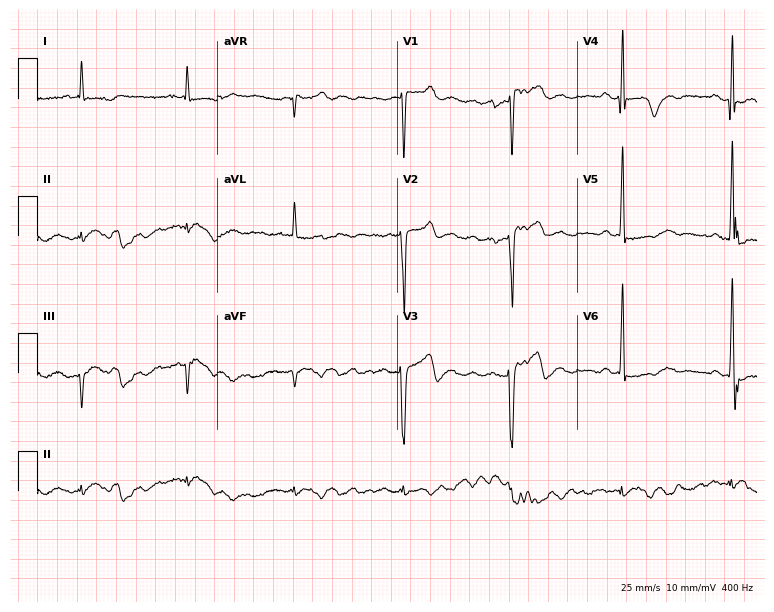
ECG (7.3-second recording at 400 Hz) — an 83-year-old male. Screened for six findings — first-degree AV block, right bundle branch block, left bundle branch block, sinus bradycardia, atrial fibrillation, sinus tachycardia — none is recorded.